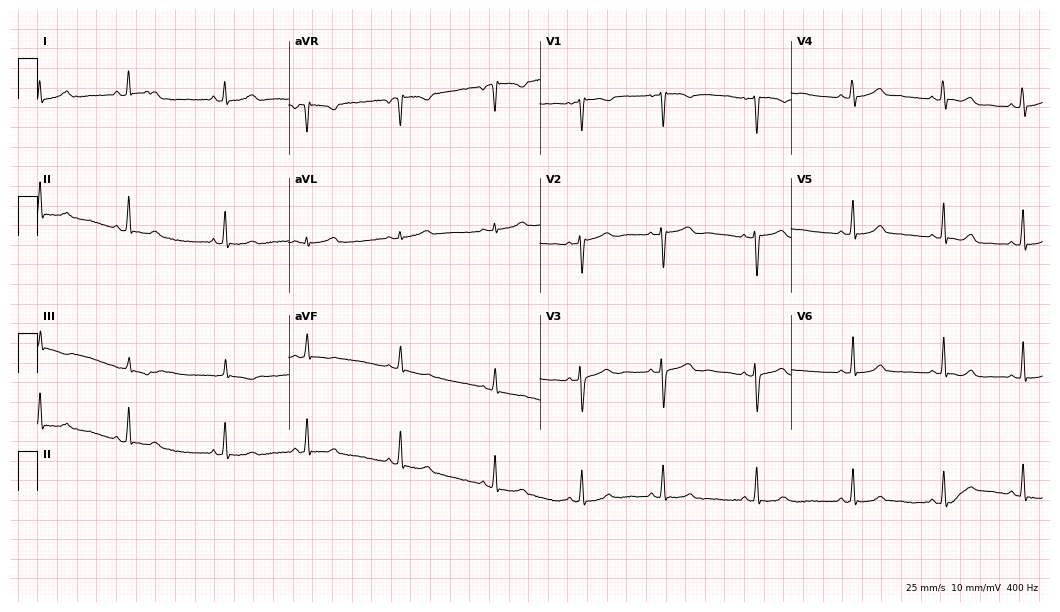
ECG (10.2-second recording at 400 Hz) — a female patient, 25 years old. Labelled as a normal ECG.